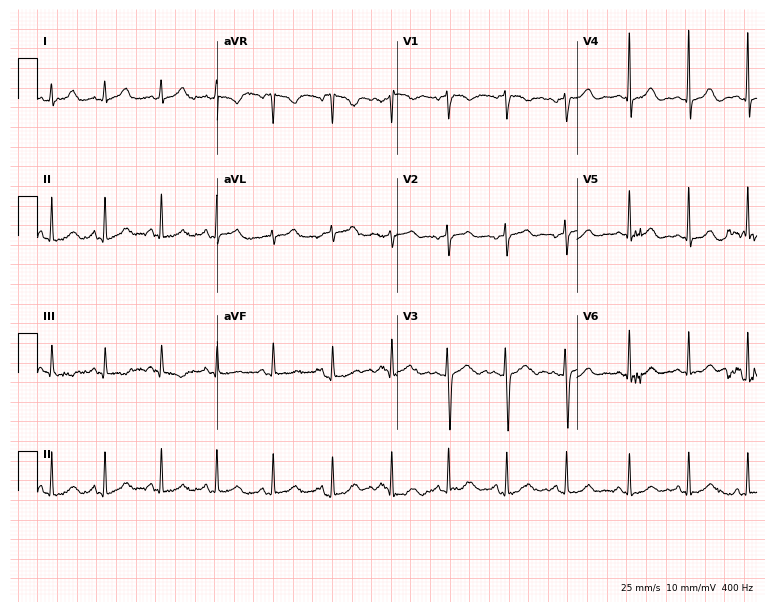
Resting 12-lead electrocardiogram (7.3-second recording at 400 Hz). Patient: a female, 18 years old. None of these six findings is recorded: first-degree AV block, right bundle branch block, left bundle branch block, sinus bradycardia, atrial fibrillation, sinus tachycardia. Only these six findings were labelled.